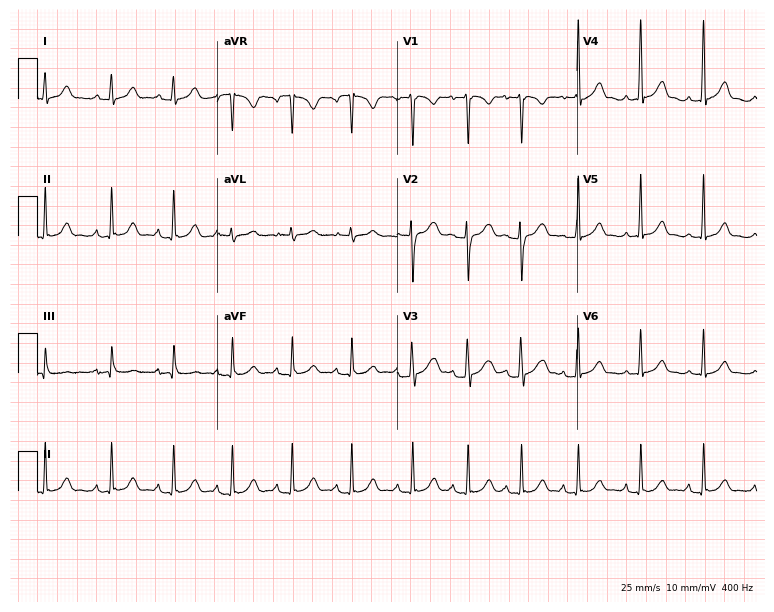
Resting 12-lead electrocardiogram (7.3-second recording at 400 Hz). Patient: a male, 18 years old. None of these six findings is recorded: first-degree AV block, right bundle branch block (RBBB), left bundle branch block (LBBB), sinus bradycardia, atrial fibrillation (AF), sinus tachycardia. Only these six findings were labelled.